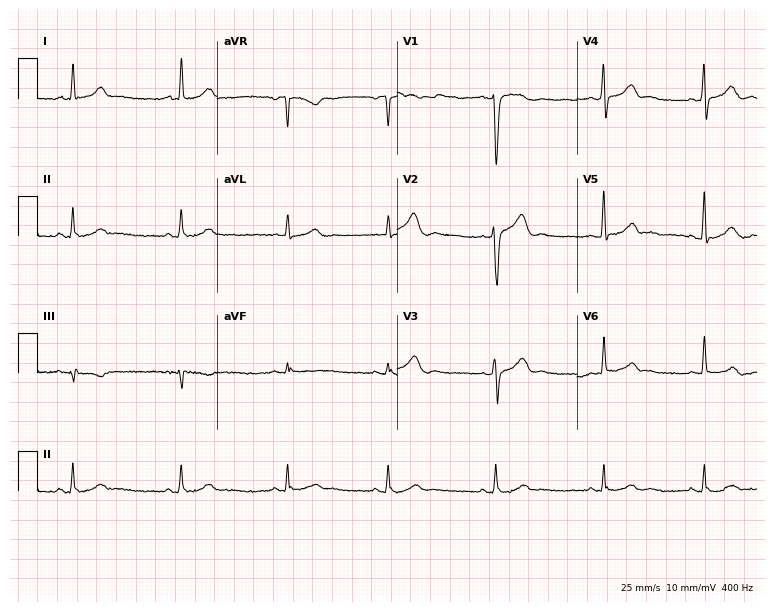
ECG (7.3-second recording at 400 Hz) — a 43-year-old male patient. Labelled as a normal ECG.